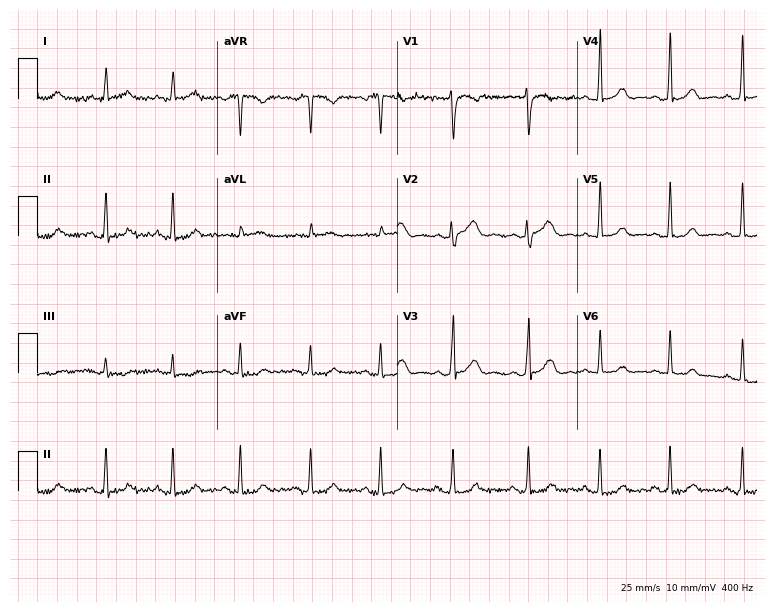
Resting 12-lead electrocardiogram. Patient: a 25-year-old female. Read as a normal ECG.